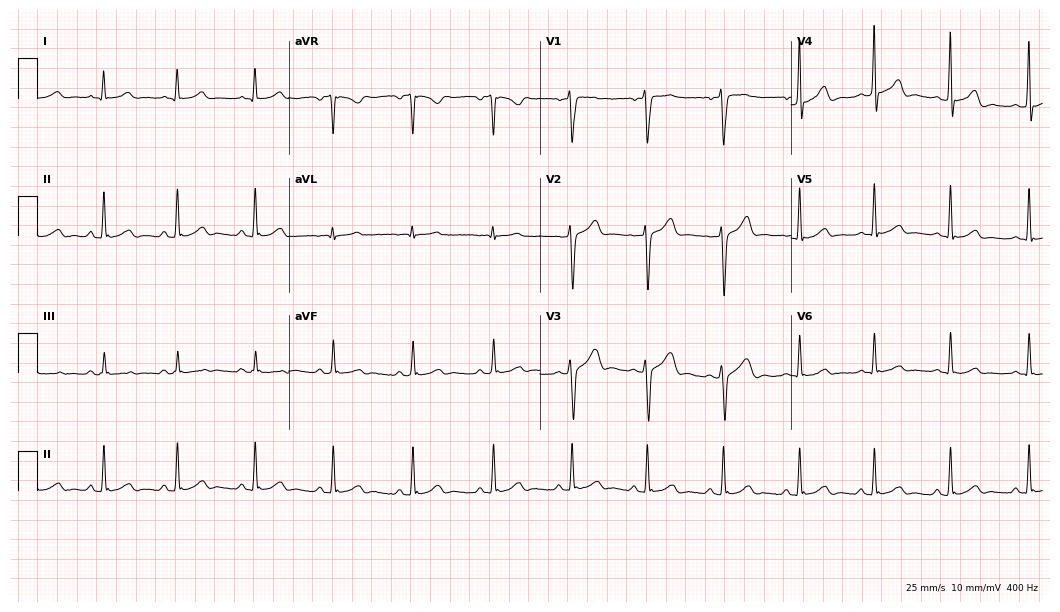
Resting 12-lead electrocardiogram (10.2-second recording at 400 Hz). Patient: a male, 20 years old. Read as a normal ECG.